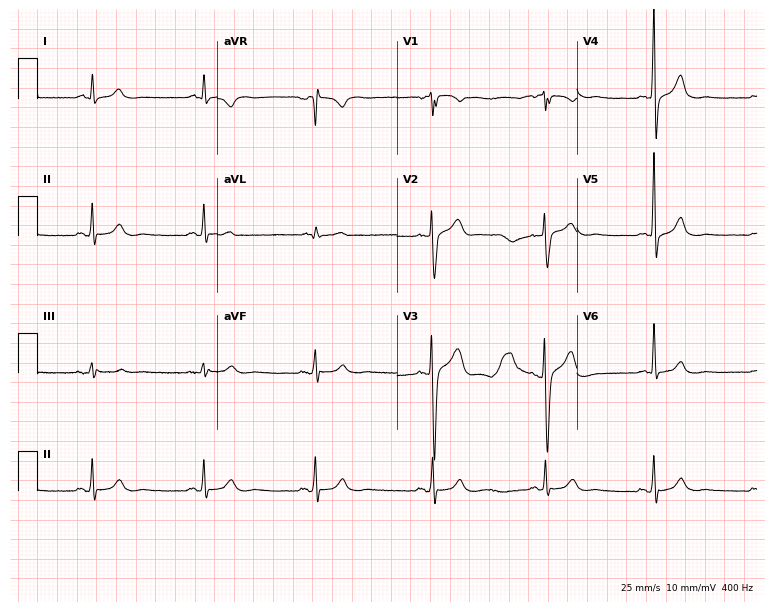
Electrocardiogram (7.3-second recording at 400 Hz), a 41-year-old man. Of the six screened findings (first-degree AV block, right bundle branch block, left bundle branch block, sinus bradycardia, atrial fibrillation, sinus tachycardia), none is recorded.